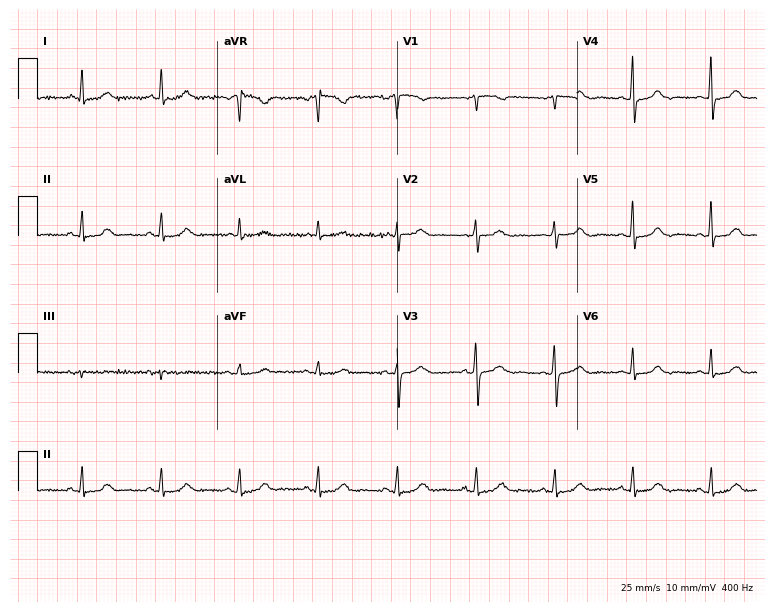
Standard 12-lead ECG recorded from a woman, 60 years old (7.3-second recording at 400 Hz). Read as a normal ECG.